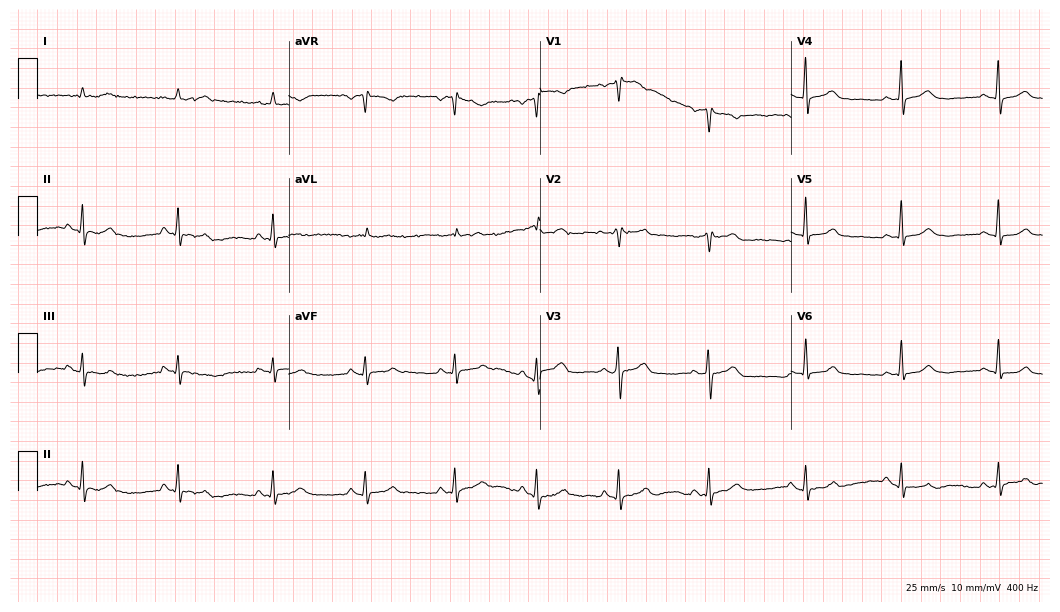
12-lead ECG (10.2-second recording at 400 Hz) from a 49-year-old female patient. Labelled as a normal ECG.